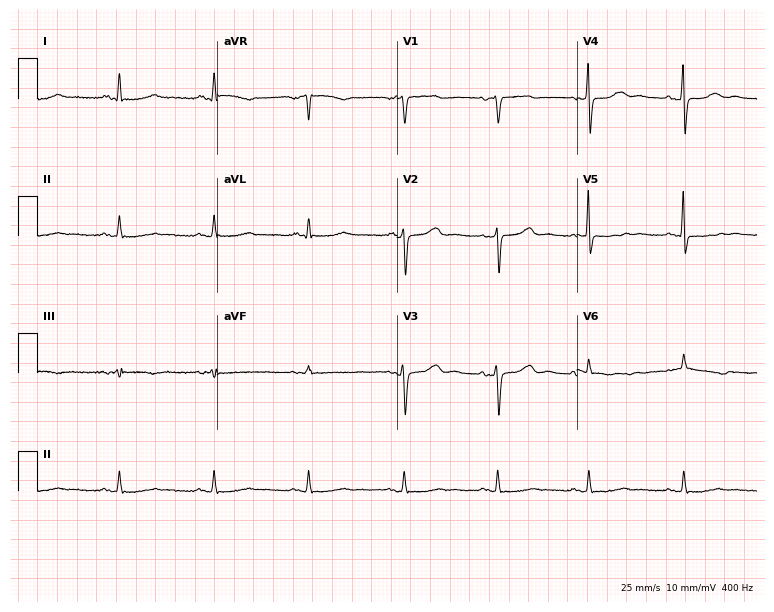
12-lead ECG from a female, 64 years old. No first-degree AV block, right bundle branch block, left bundle branch block, sinus bradycardia, atrial fibrillation or sinus tachycardia recorded for this tracing. Other findings, if any, are not listed.